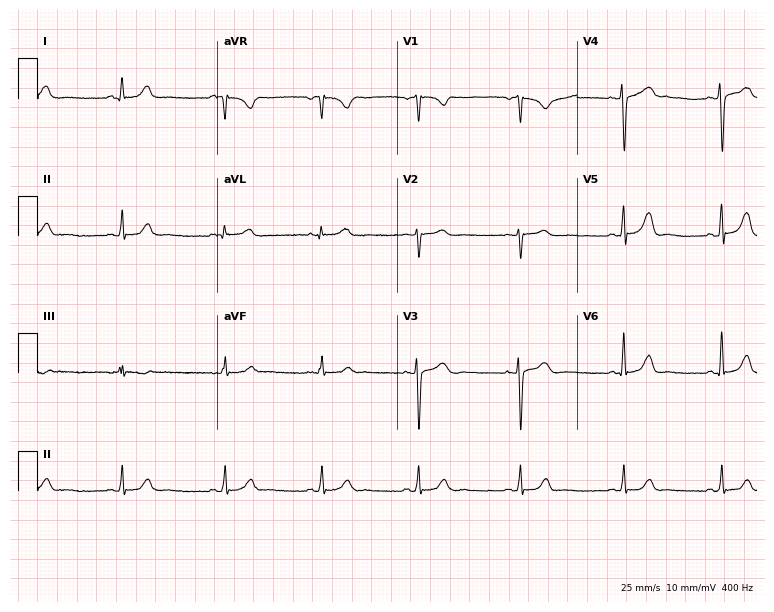
12-lead ECG from a 35-year-old woman (7.3-second recording at 400 Hz). No first-degree AV block, right bundle branch block, left bundle branch block, sinus bradycardia, atrial fibrillation or sinus tachycardia recorded for this tracing.